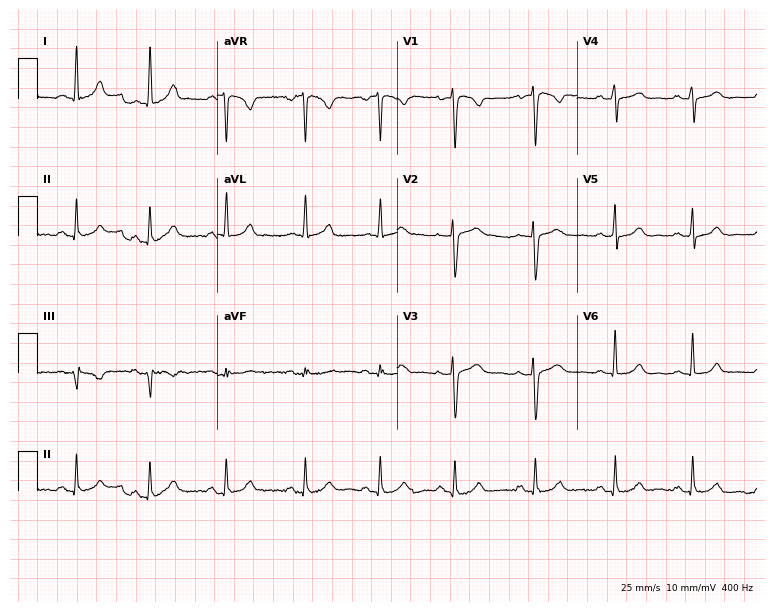
12-lead ECG from a 40-year-old female patient (7.3-second recording at 400 Hz). Recorded interpretation: within normal limits.